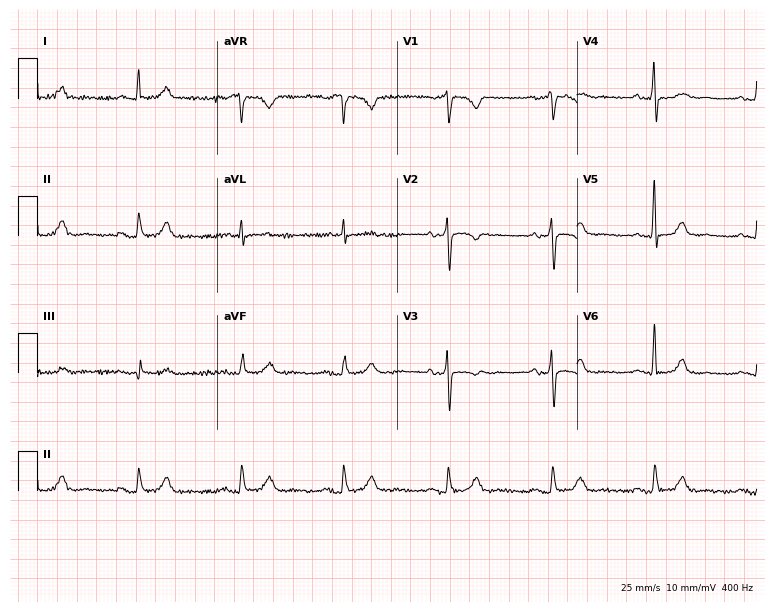
12-lead ECG from a 64-year-old woman. Labelled as a normal ECG.